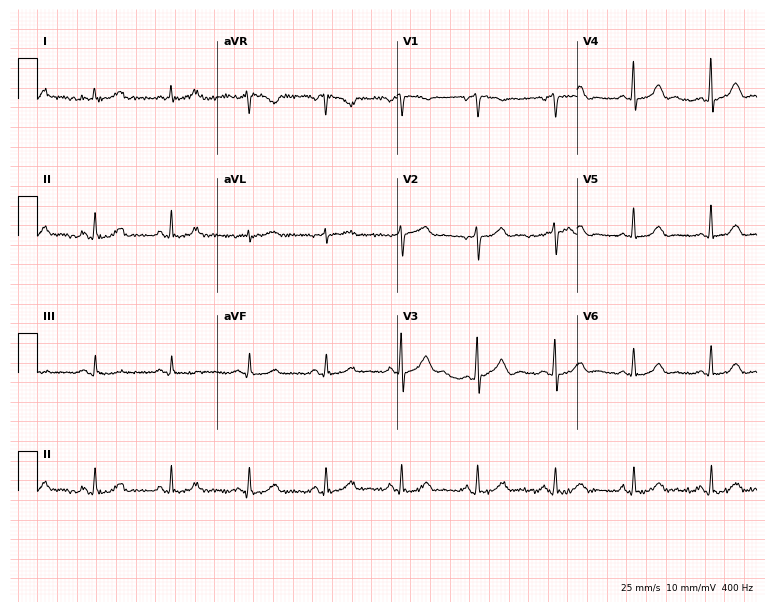
12-lead ECG (7.3-second recording at 400 Hz) from a 59-year-old female. Labelled as a normal ECG.